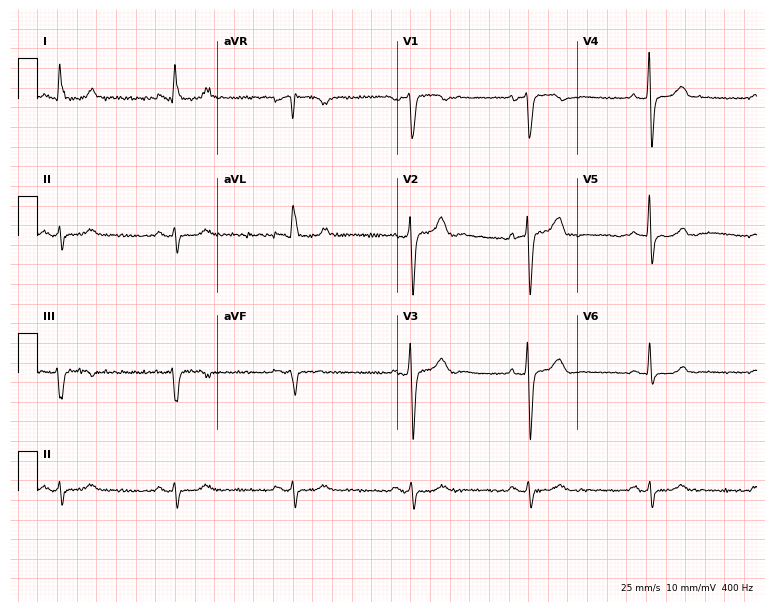
ECG (7.3-second recording at 400 Hz) — a male patient, 62 years old. Screened for six findings — first-degree AV block, right bundle branch block, left bundle branch block, sinus bradycardia, atrial fibrillation, sinus tachycardia — none is recorded. Only these six findings were labelled.